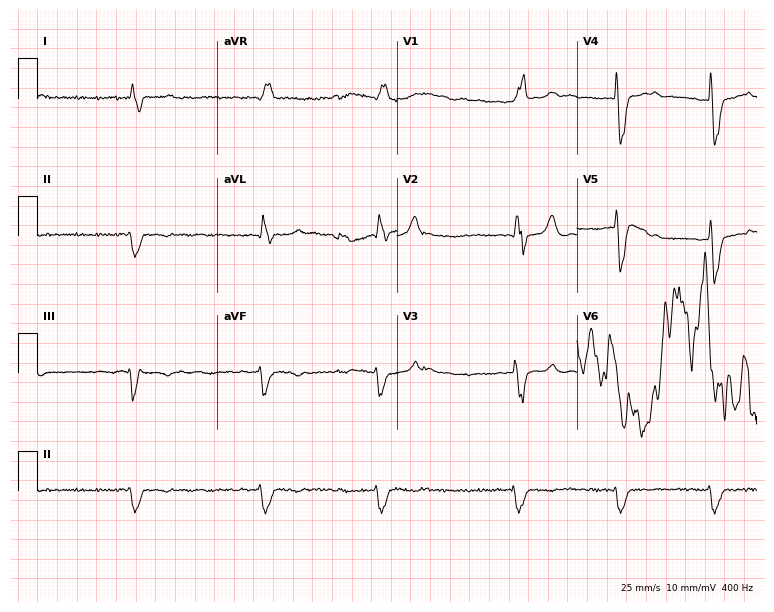
Electrocardiogram, a male, 67 years old. Interpretation includes right bundle branch block, atrial fibrillation.